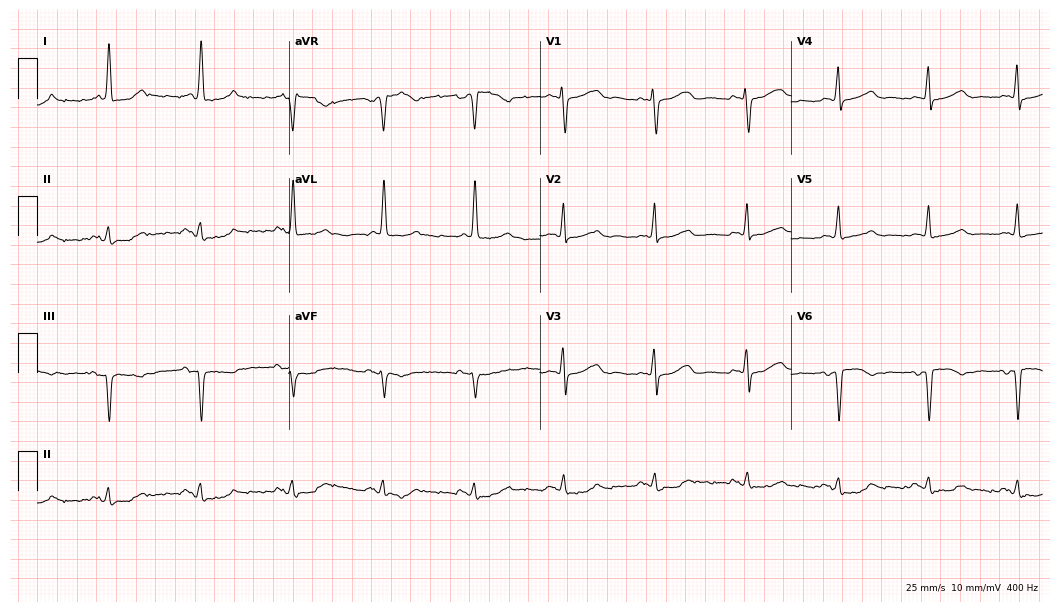
Standard 12-lead ECG recorded from a 57-year-old female patient. None of these six findings is recorded: first-degree AV block, right bundle branch block, left bundle branch block, sinus bradycardia, atrial fibrillation, sinus tachycardia.